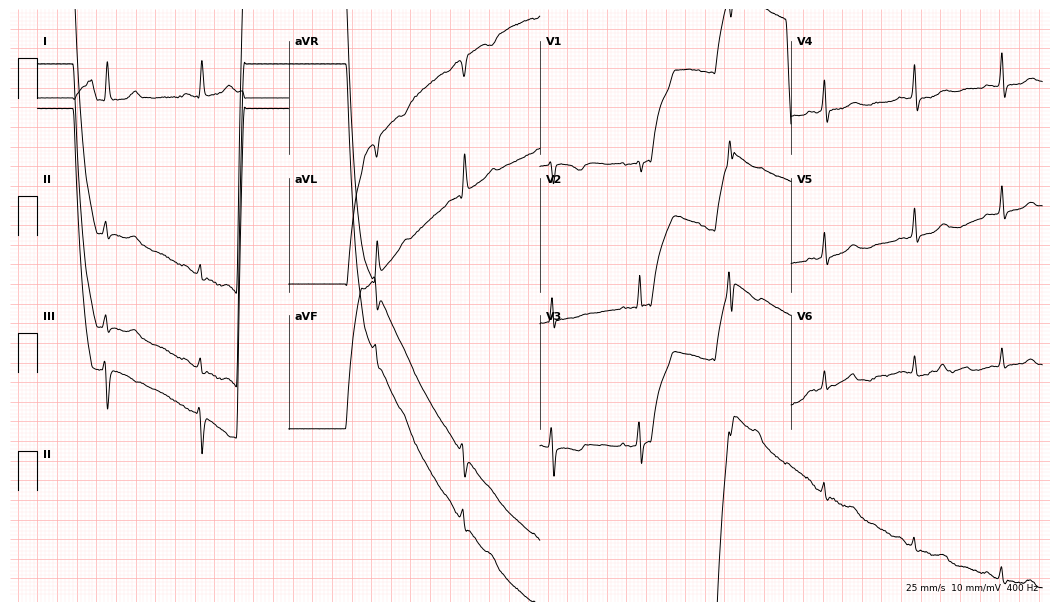
ECG — a female patient, 61 years old. Screened for six findings — first-degree AV block, right bundle branch block (RBBB), left bundle branch block (LBBB), sinus bradycardia, atrial fibrillation (AF), sinus tachycardia — none is recorded.